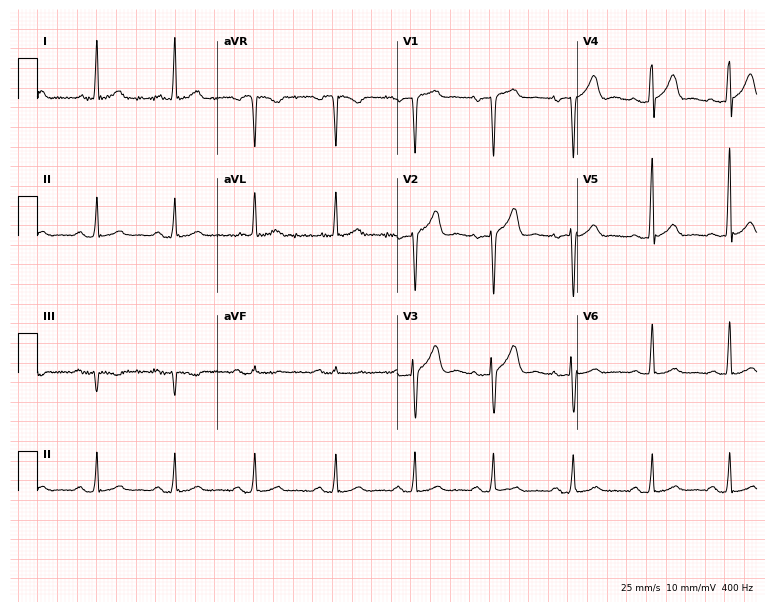
12-lead ECG from a 62-year-old man. Labelled as a normal ECG.